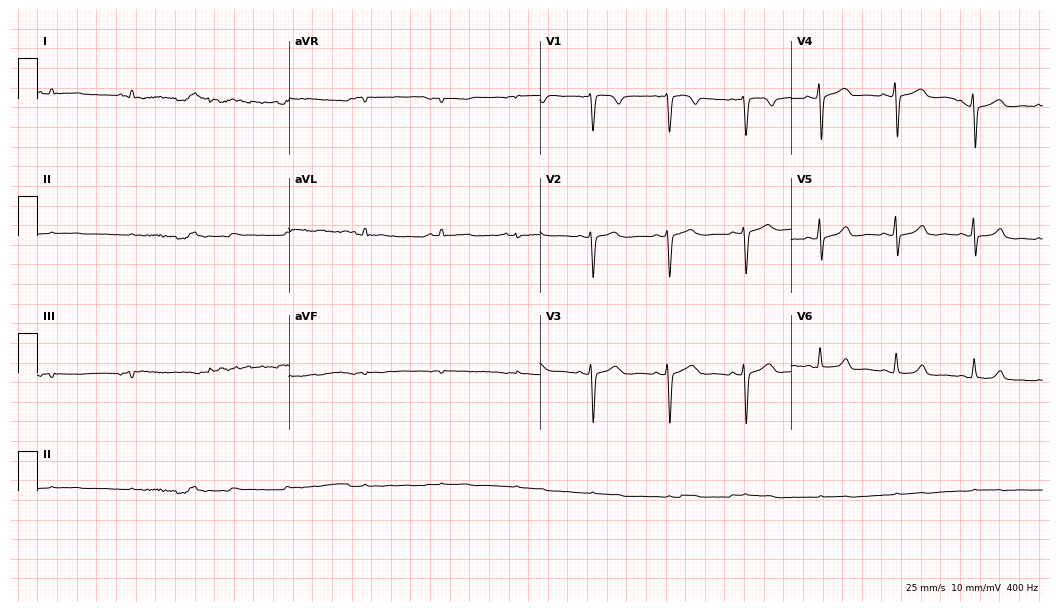
ECG (10.2-second recording at 400 Hz) — a 54-year-old female patient. Screened for six findings — first-degree AV block, right bundle branch block, left bundle branch block, sinus bradycardia, atrial fibrillation, sinus tachycardia — none is recorded. Findings outside these six are not listed.